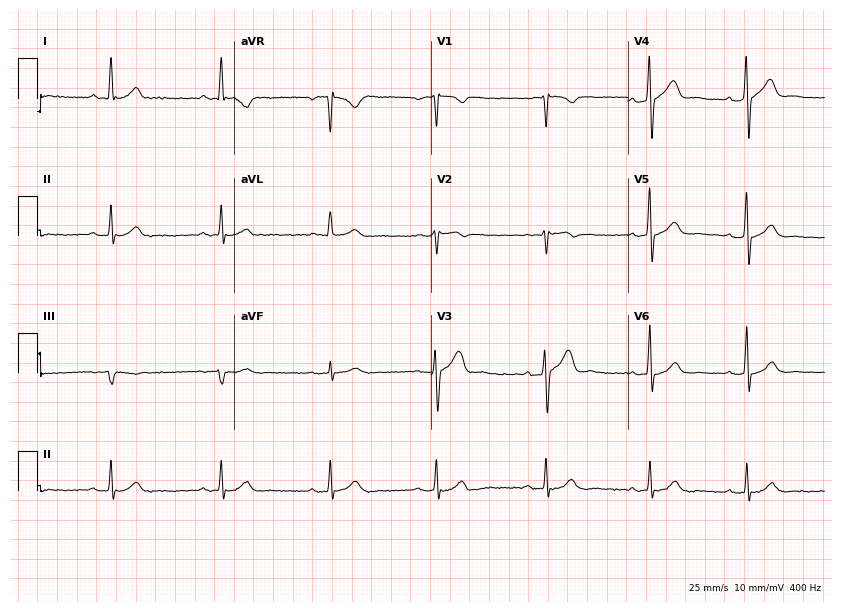
Electrocardiogram, a 52-year-old male patient. Of the six screened findings (first-degree AV block, right bundle branch block (RBBB), left bundle branch block (LBBB), sinus bradycardia, atrial fibrillation (AF), sinus tachycardia), none is recorded.